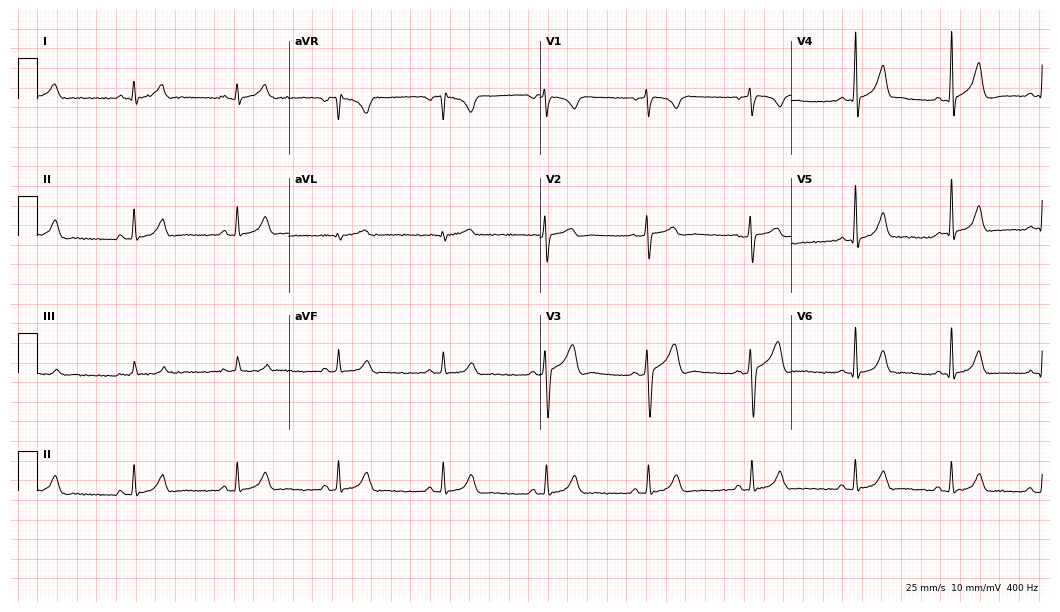
Standard 12-lead ECG recorded from a 32-year-old male patient. None of these six findings is recorded: first-degree AV block, right bundle branch block, left bundle branch block, sinus bradycardia, atrial fibrillation, sinus tachycardia.